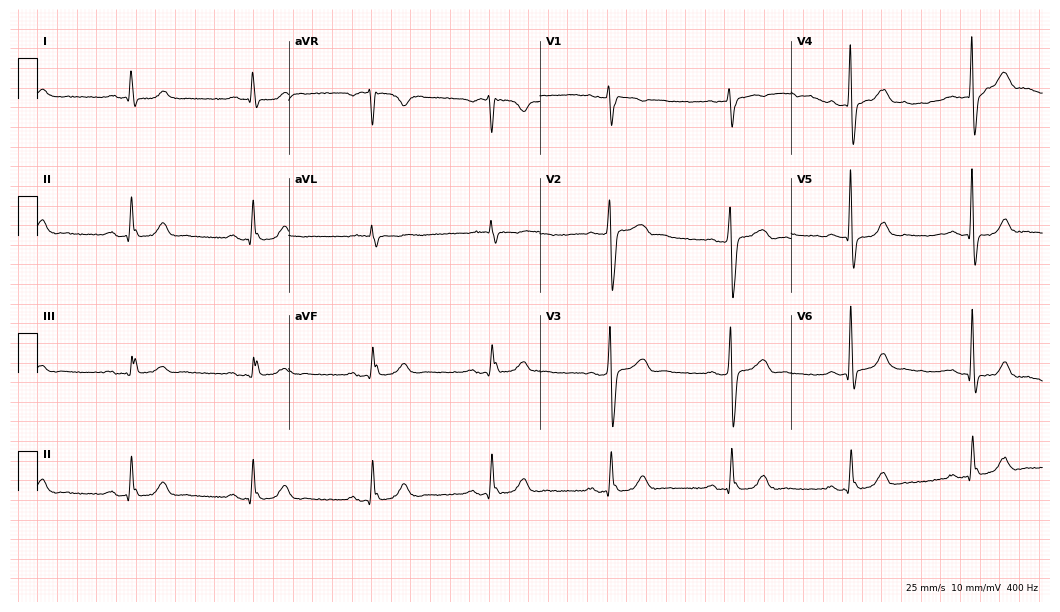
Electrocardiogram, a 74-year-old male. Of the six screened findings (first-degree AV block, right bundle branch block (RBBB), left bundle branch block (LBBB), sinus bradycardia, atrial fibrillation (AF), sinus tachycardia), none is recorded. Other findings, if any, are not listed.